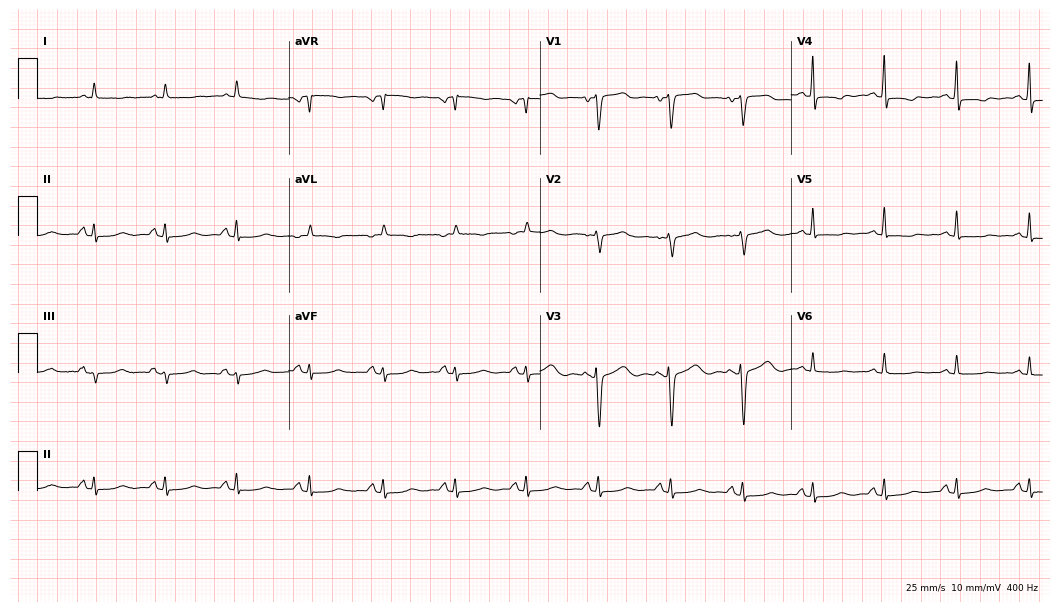
Resting 12-lead electrocardiogram (10.2-second recording at 400 Hz). Patient: a woman, 64 years old. None of these six findings is recorded: first-degree AV block, right bundle branch block, left bundle branch block, sinus bradycardia, atrial fibrillation, sinus tachycardia.